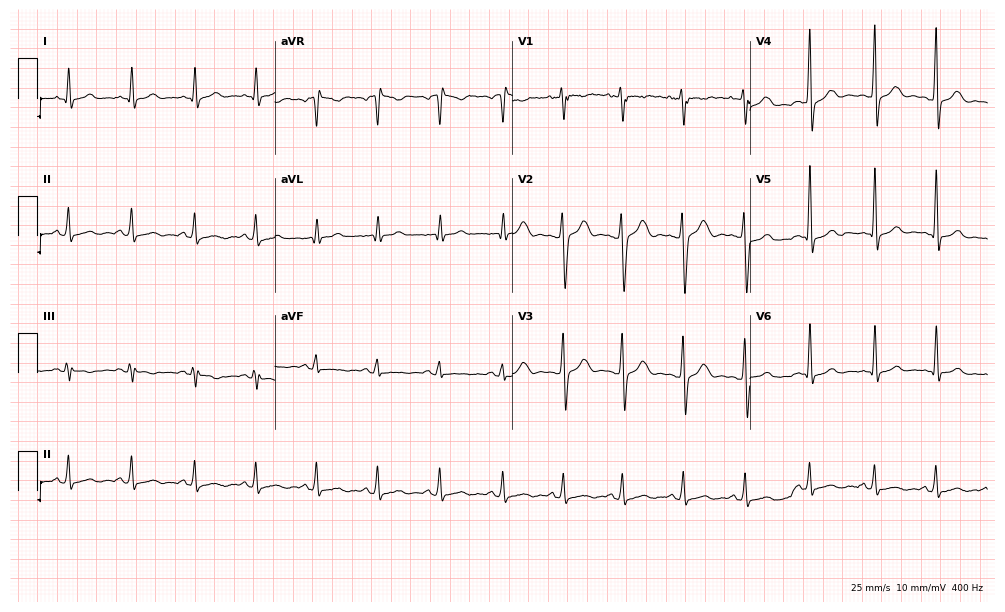
Standard 12-lead ECG recorded from a 19-year-old male patient. None of these six findings is recorded: first-degree AV block, right bundle branch block (RBBB), left bundle branch block (LBBB), sinus bradycardia, atrial fibrillation (AF), sinus tachycardia. Findings outside these six are not listed.